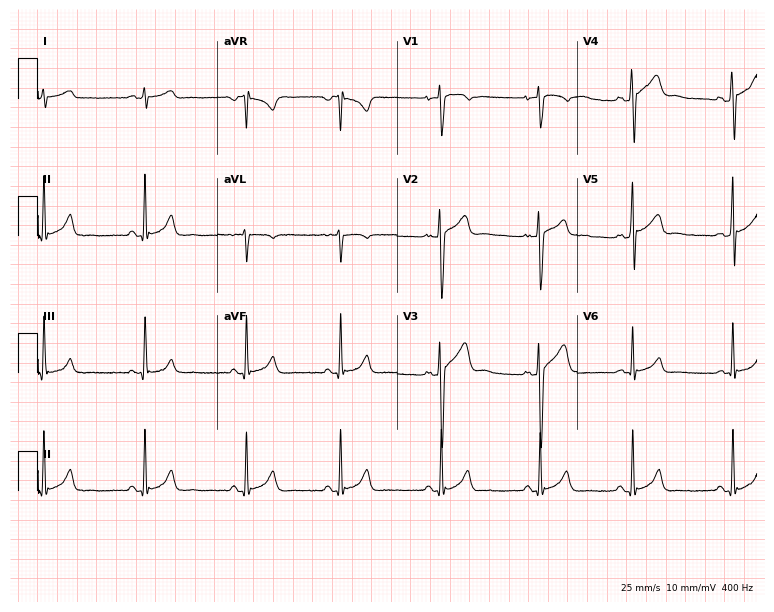
12-lead ECG from a male patient, 20 years old (7.3-second recording at 400 Hz). Recorded interpretation: within normal limits.